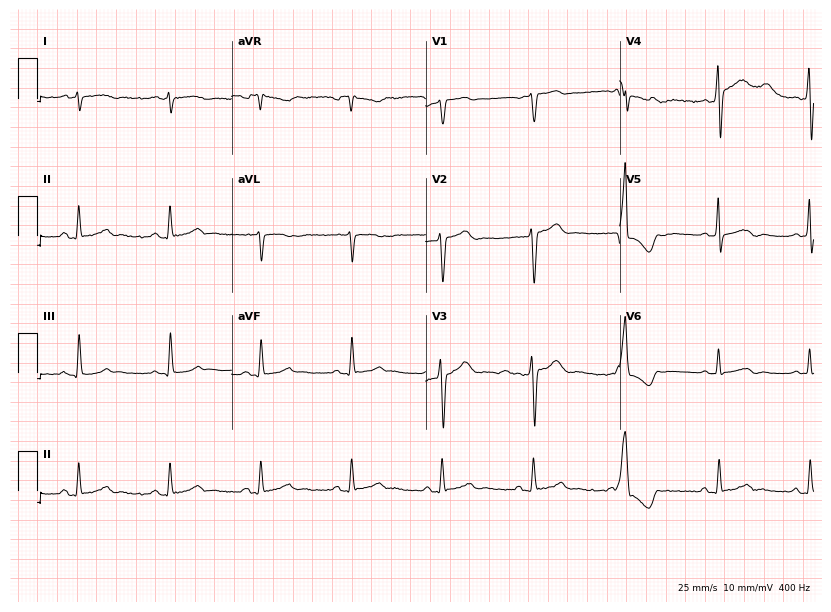
Standard 12-lead ECG recorded from a man, 56 years old. None of these six findings is recorded: first-degree AV block, right bundle branch block (RBBB), left bundle branch block (LBBB), sinus bradycardia, atrial fibrillation (AF), sinus tachycardia.